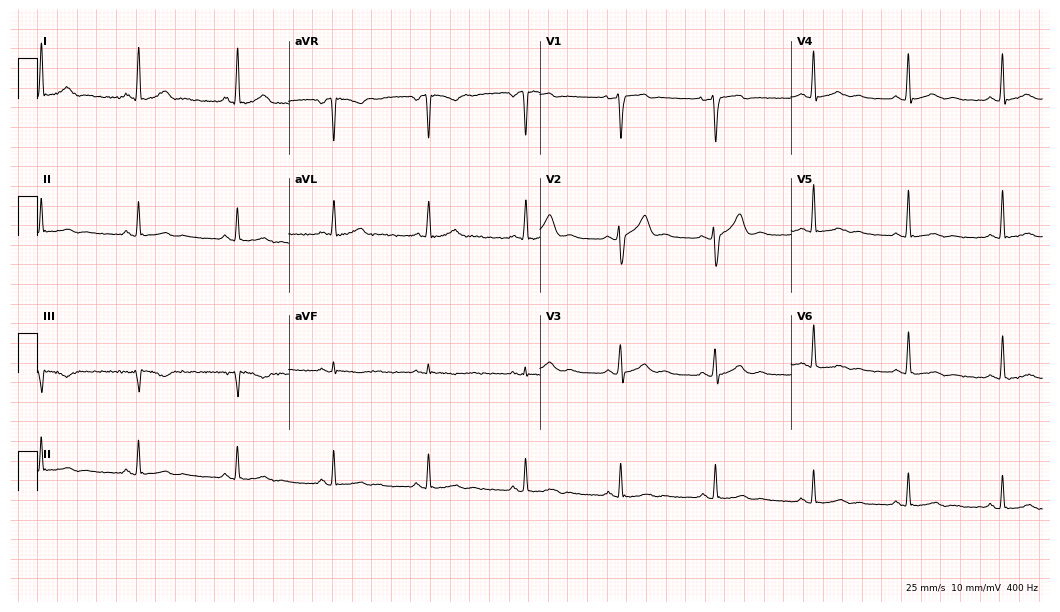
Standard 12-lead ECG recorded from a male, 28 years old (10.2-second recording at 400 Hz). Read as a normal ECG.